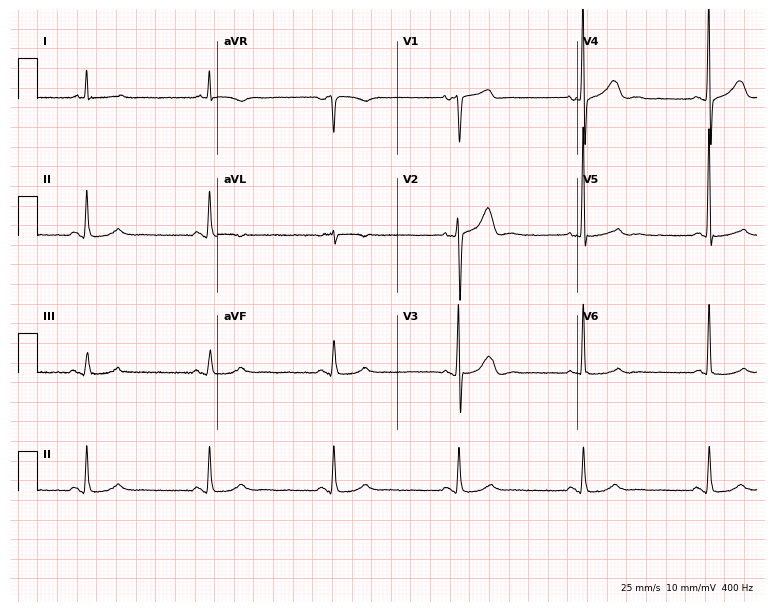
Resting 12-lead electrocardiogram (7.3-second recording at 400 Hz). Patient: a male, 73 years old. The tracing shows sinus bradycardia (a sinus rate of 50 beats per minute or less).